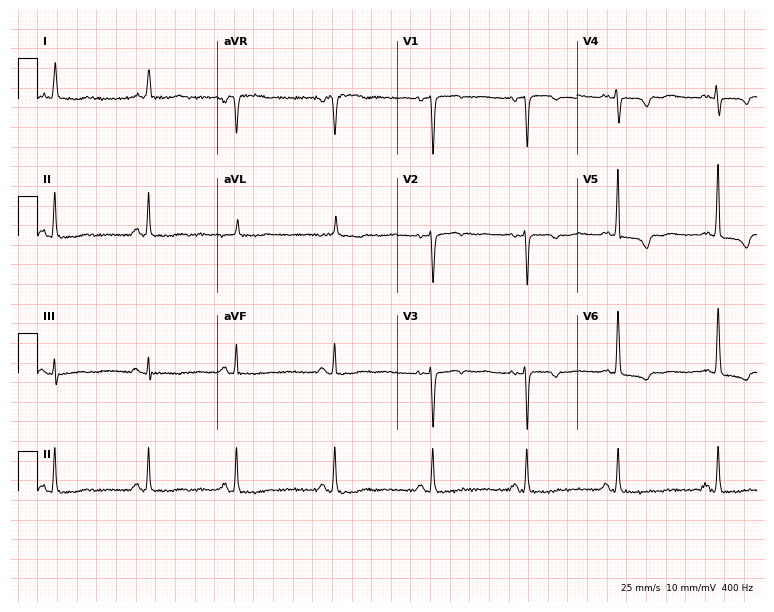
Resting 12-lead electrocardiogram. Patient: a female, 81 years old. None of these six findings is recorded: first-degree AV block, right bundle branch block, left bundle branch block, sinus bradycardia, atrial fibrillation, sinus tachycardia. Findings outside these six are not listed.